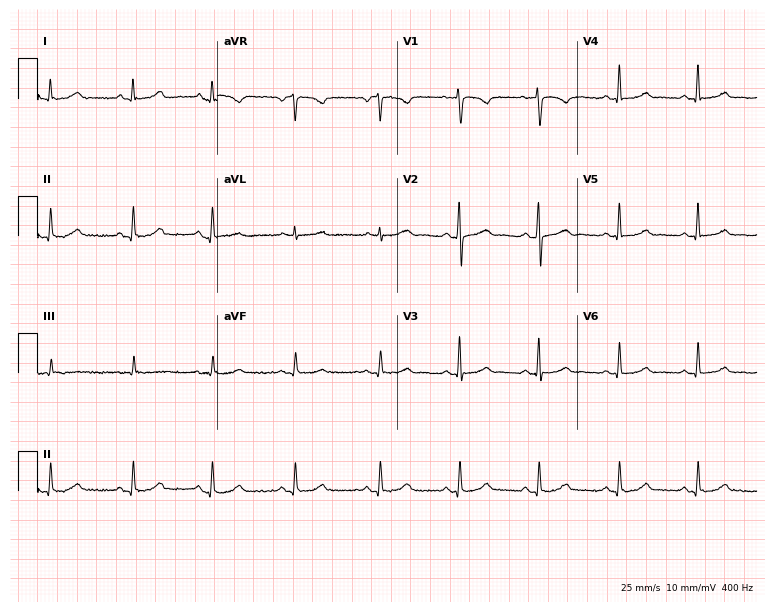
ECG (7.3-second recording at 400 Hz) — a female patient, 23 years old. Labelled as a normal ECG.